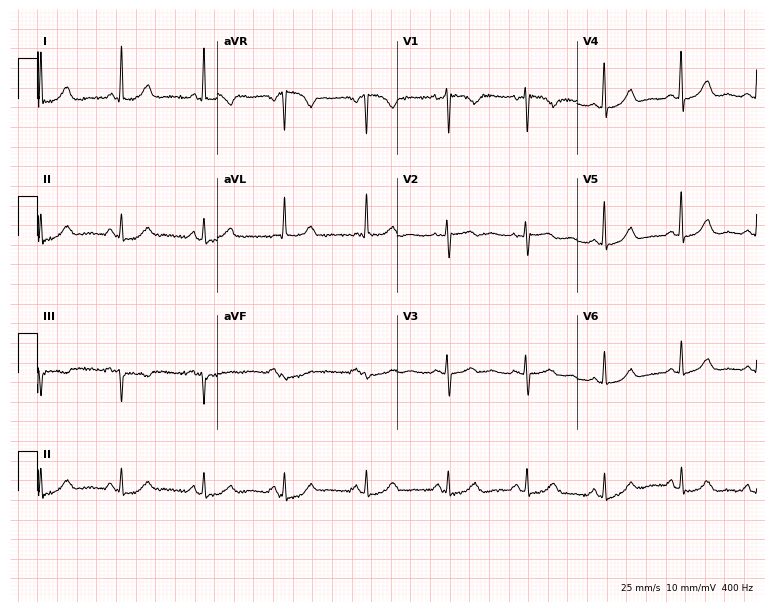
Electrocardiogram, a 50-year-old female. Overall reading on record: normal ECG.